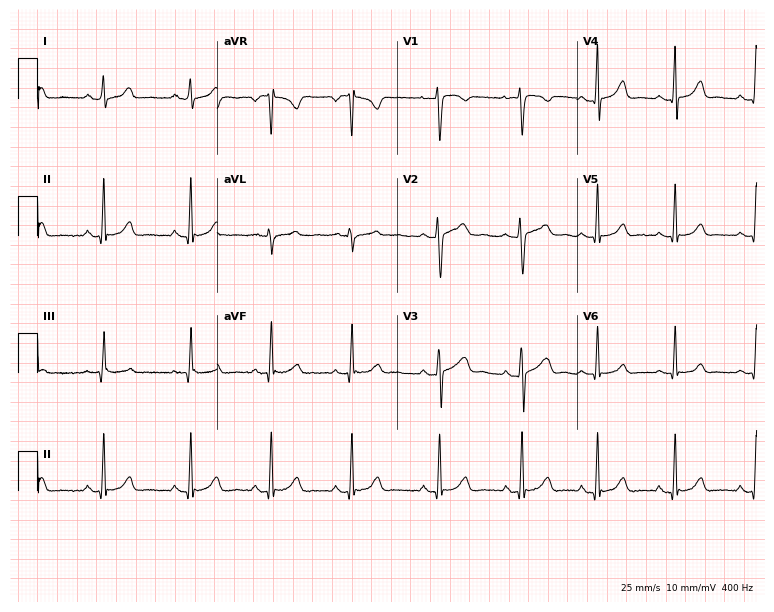
12-lead ECG from a female patient, 22 years old (7.3-second recording at 400 Hz). Recorded interpretation: within normal limits.